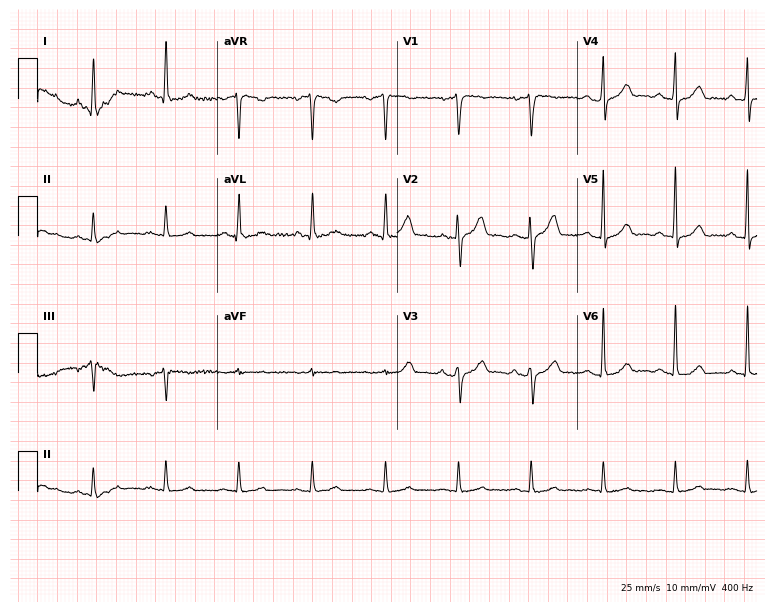
12-lead ECG from a male, 52 years old. Recorded interpretation: within normal limits.